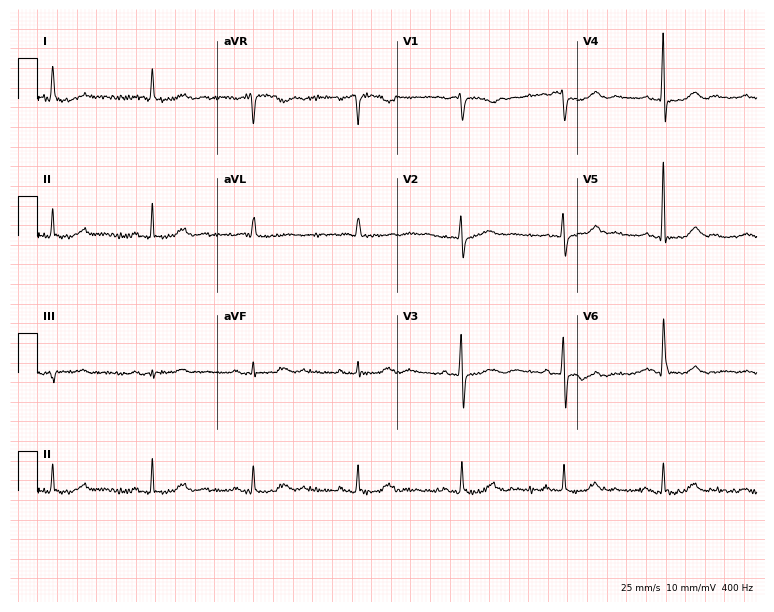
Resting 12-lead electrocardiogram. Patient: a female, 78 years old. None of these six findings is recorded: first-degree AV block, right bundle branch block, left bundle branch block, sinus bradycardia, atrial fibrillation, sinus tachycardia. Findings outside these six are not listed.